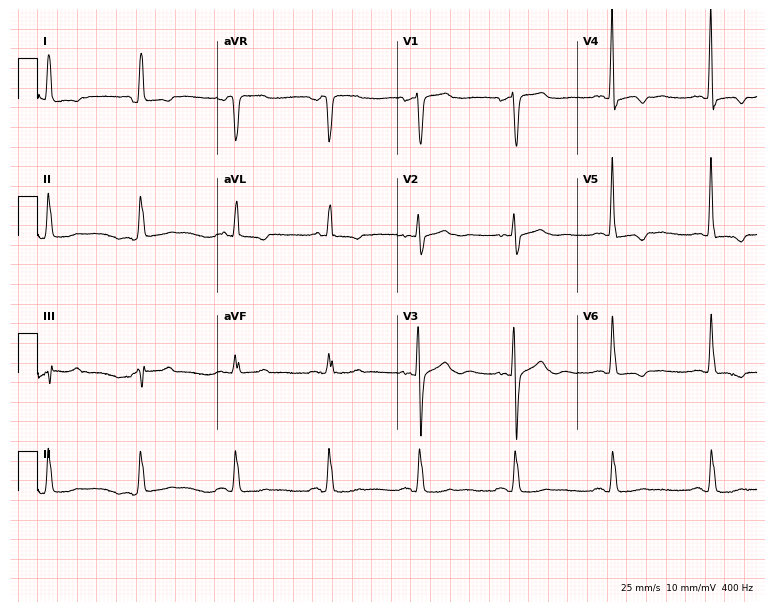
12-lead ECG from a female patient, 66 years old. Screened for six findings — first-degree AV block, right bundle branch block, left bundle branch block, sinus bradycardia, atrial fibrillation, sinus tachycardia — none is recorded. Only these six findings were labelled.